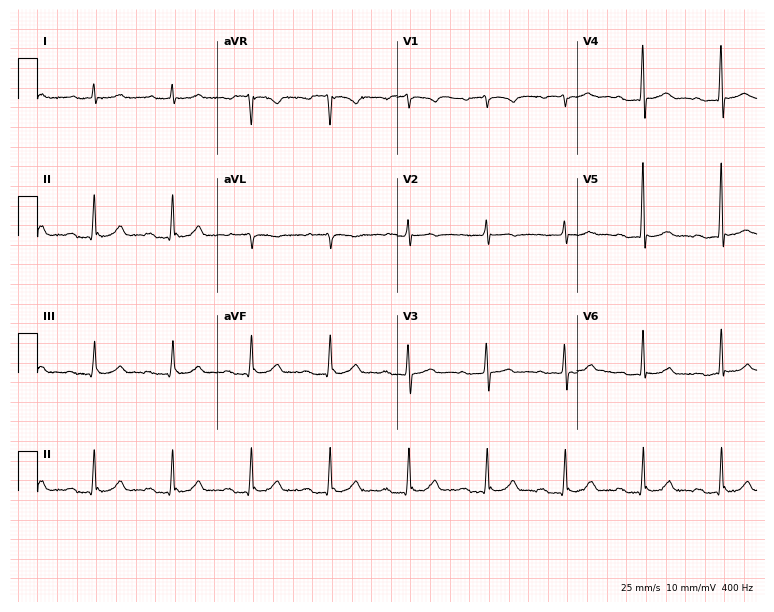
ECG — a male patient, 81 years old. Findings include first-degree AV block.